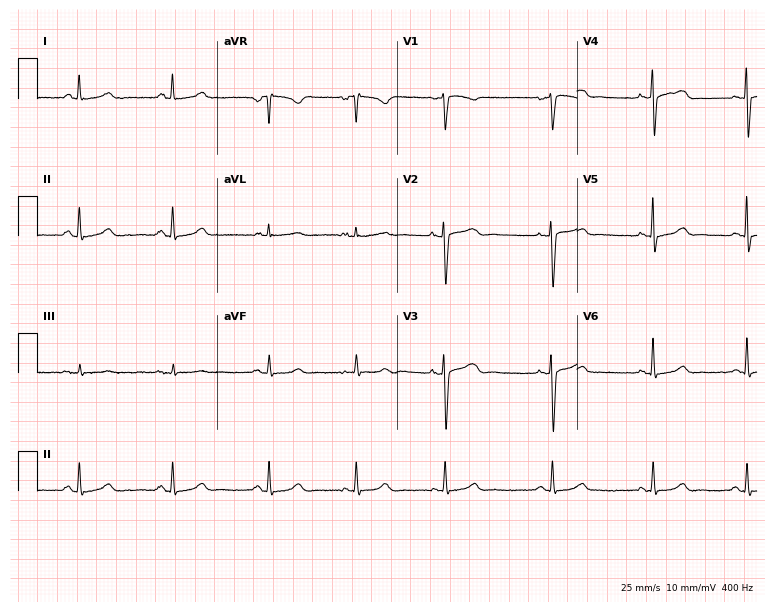
ECG — a 24-year-old woman. Labelled as a normal ECG.